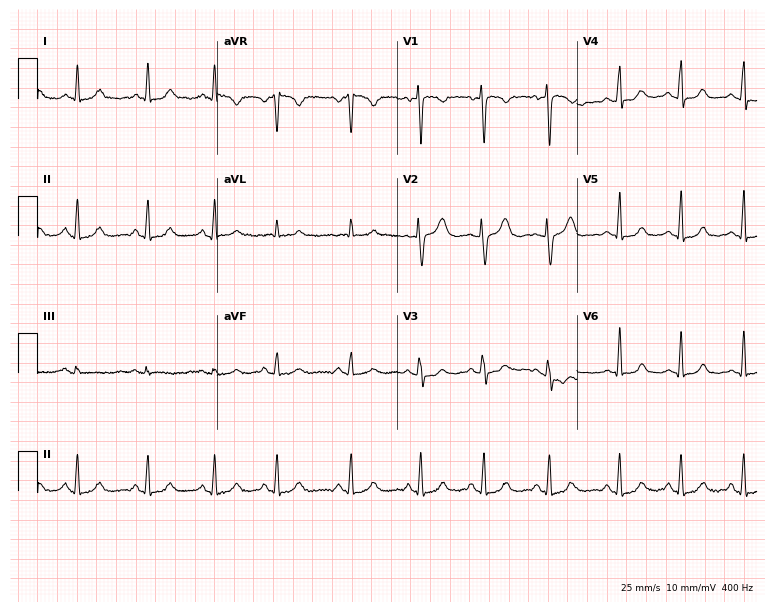
12-lead ECG from a woman, 43 years old. Labelled as a normal ECG.